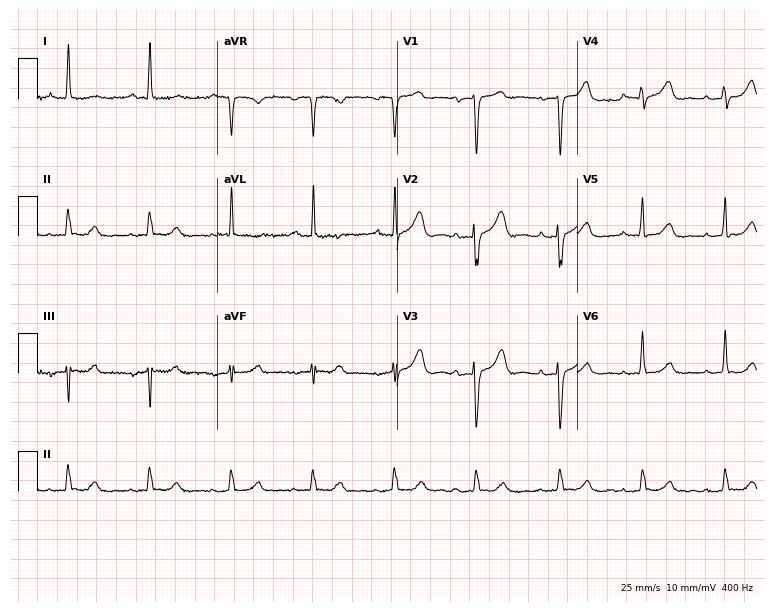
ECG — an 81-year-old female patient. Labelled as a normal ECG.